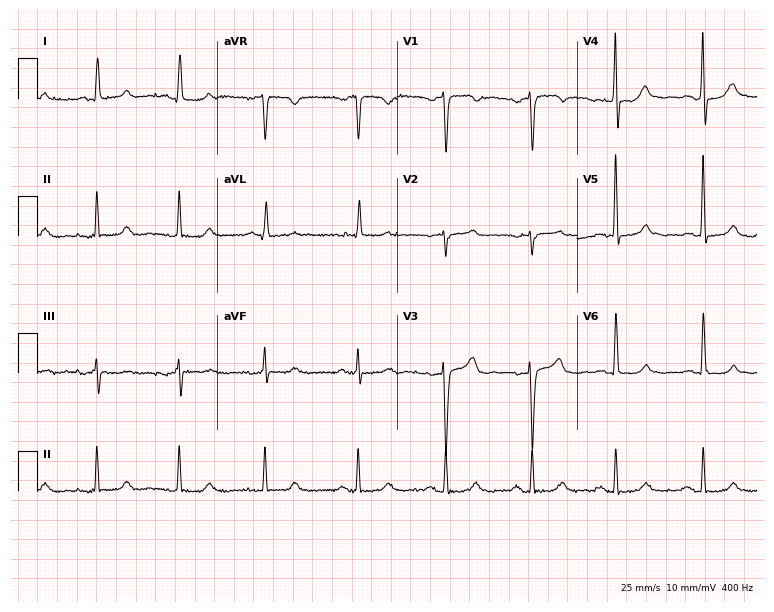
ECG — a 70-year-old female. Labelled as a normal ECG.